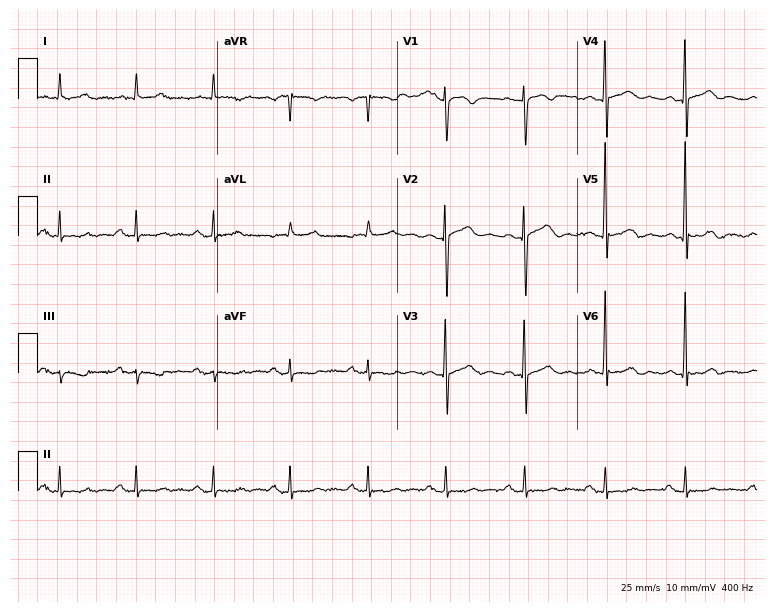
12-lead ECG from an 80-year-old female patient. Recorded interpretation: within normal limits.